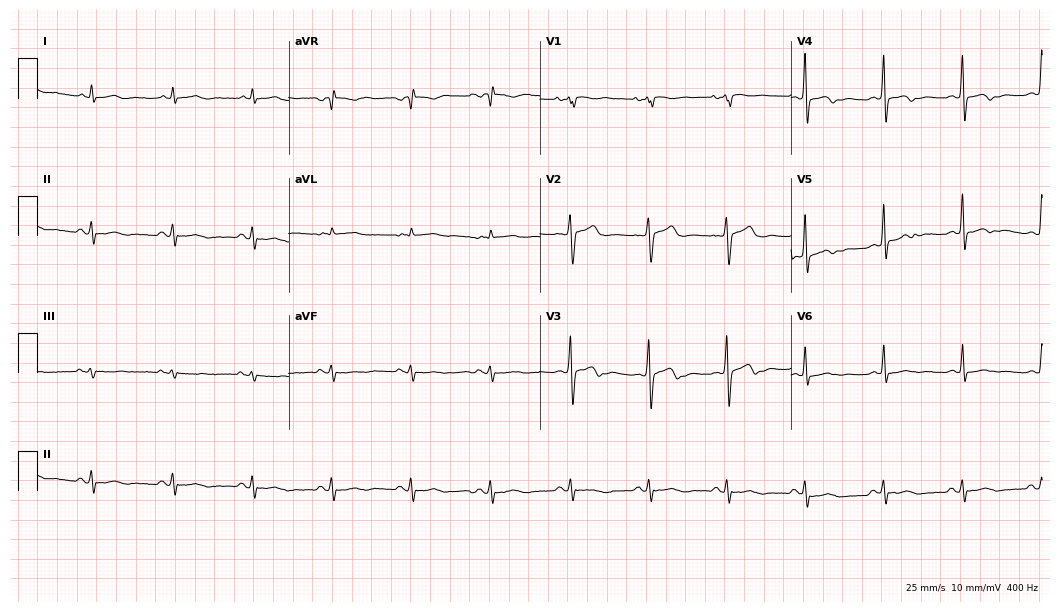
12-lead ECG from a male patient, 58 years old. Screened for six findings — first-degree AV block, right bundle branch block, left bundle branch block, sinus bradycardia, atrial fibrillation, sinus tachycardia — none is recorded. Other findings, if any, are not listed.